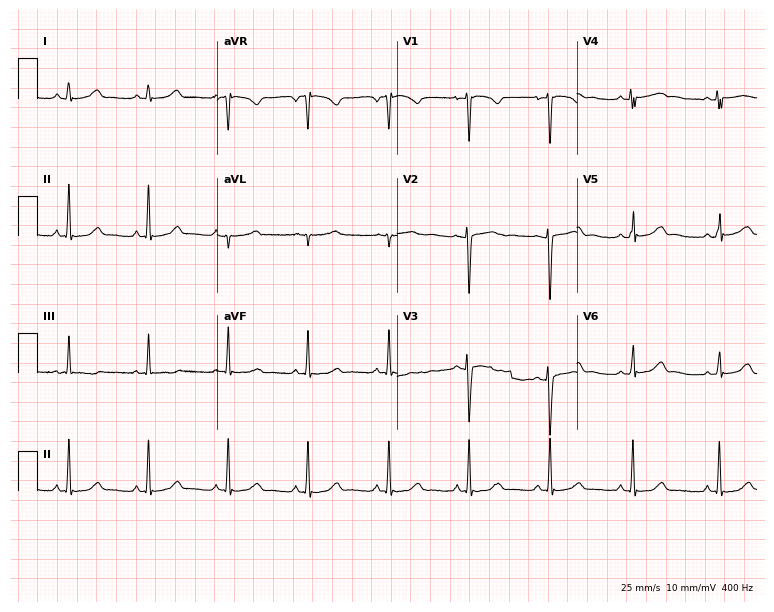
Electrocardiogram (7.3-second recording at 400 Hz), a female patient, 19 years old. Overall reading on record: normal ECG.